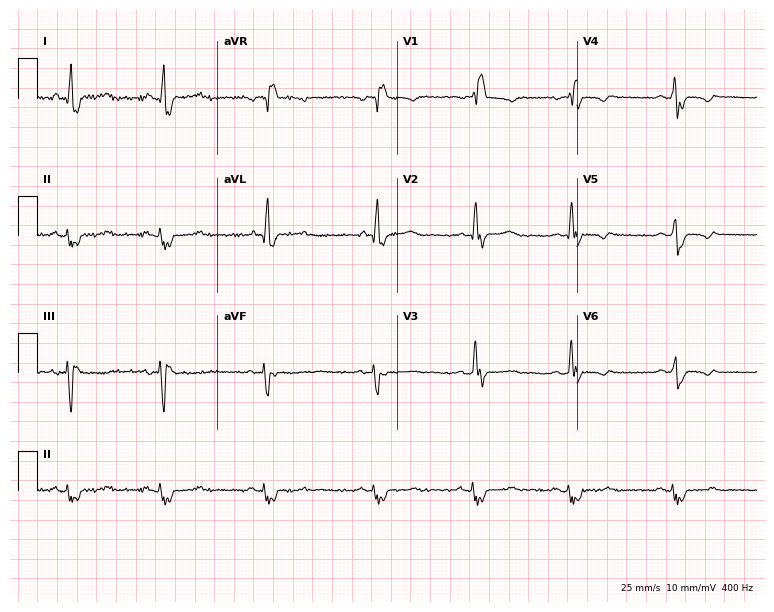
12-lead ECG from a 67-year-old female patient. Findings include right bundle branch block.